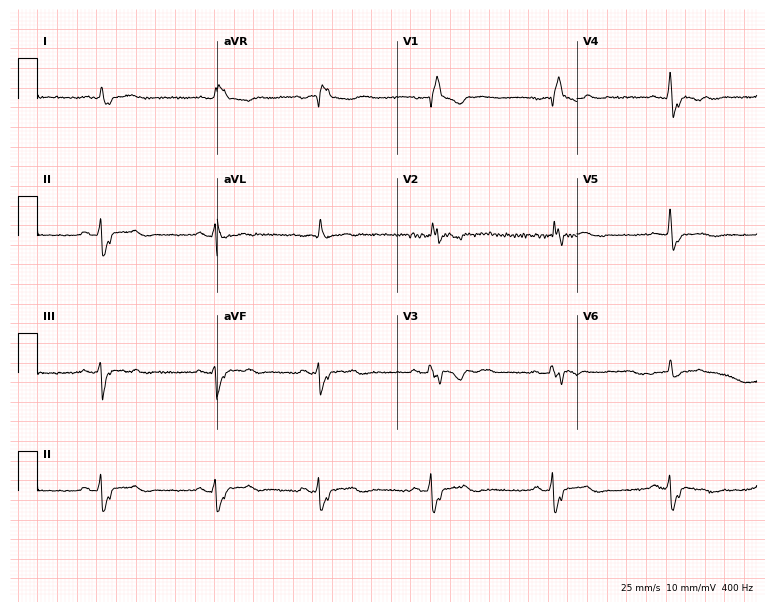
Resting 12-lead electrocardiogram. Patient: a 57-year-old man. None of these six findings is recorded: first-degree AV block, right bundle branch block (RBBB), left bundle branch block (LBBB), sinus bradycardia, atrial fibrillation (AF), sinus tachycardia.